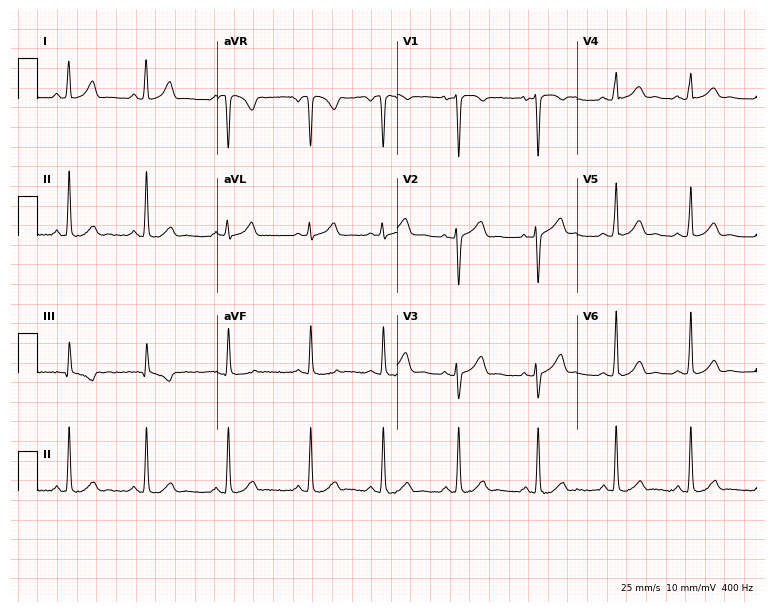
12-lead ECG (7.3-second recording at 400 Hz) from a 24-year-old female patient. Screened for six findings — first-degree AV block, right bundle branch block, left bundle branch block, sinus bradycardia, atrial fibrillation, sinus tachycardia — none is recorded.